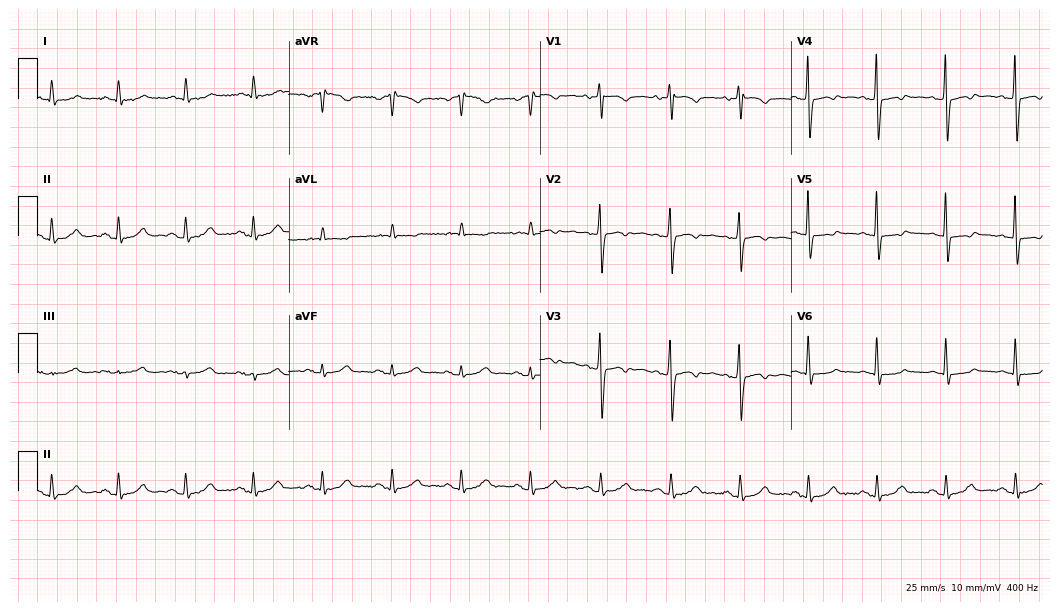
12-lead ECG (10.2-second recording at 400 Hz) from a 70-year-old female patient. Screened for six findings — first-degree AV block, right bundle branch block, left bundle branch block, sinus bradycardia, atrial fibrillation, sinus tachycardia — none is recorded. Other findings, if any, are not listed.